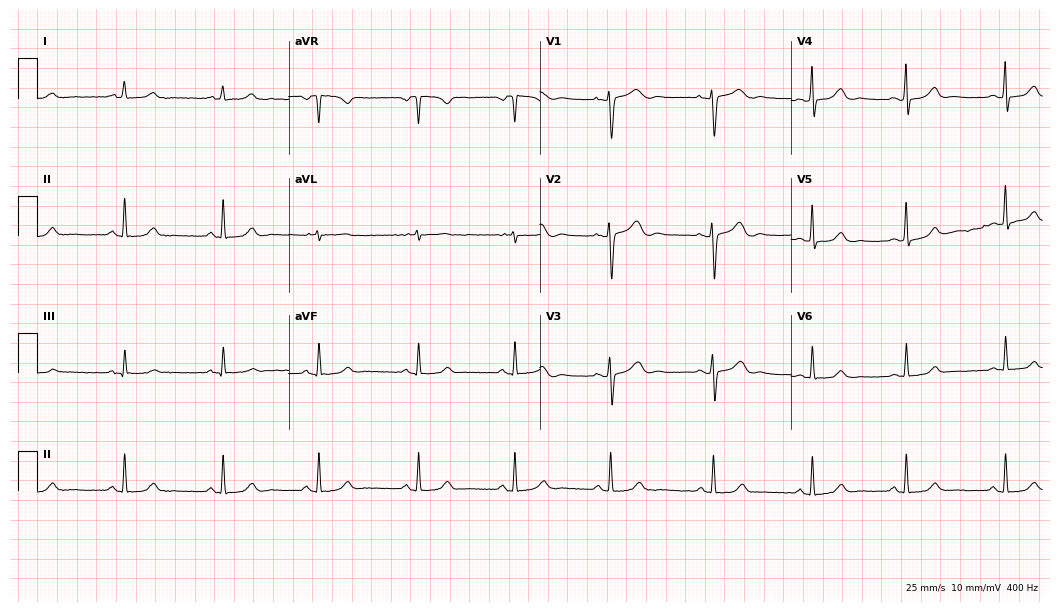
12-lead ECG (10.2-second recording at 400 Hz) from an 18-year-old female patient. Labelled as a normal ECG.